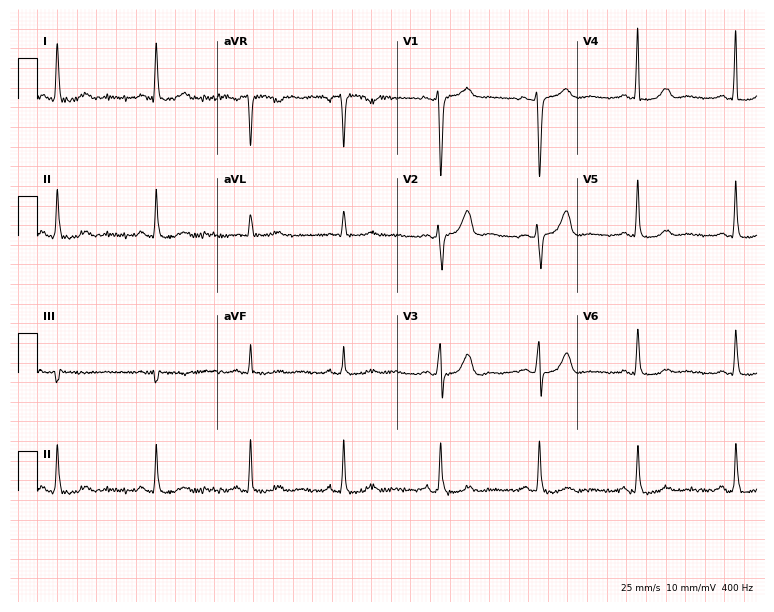
Electrocardiogram (7.3-second recording at 400 Hz), a female patient, 49 years old. Of the six screened findings (first-degree AV block, right bundle branch block, left bundle branch block, sinus bradycardia, atrial fibrillation, sinus tachycardia), none is recorded.